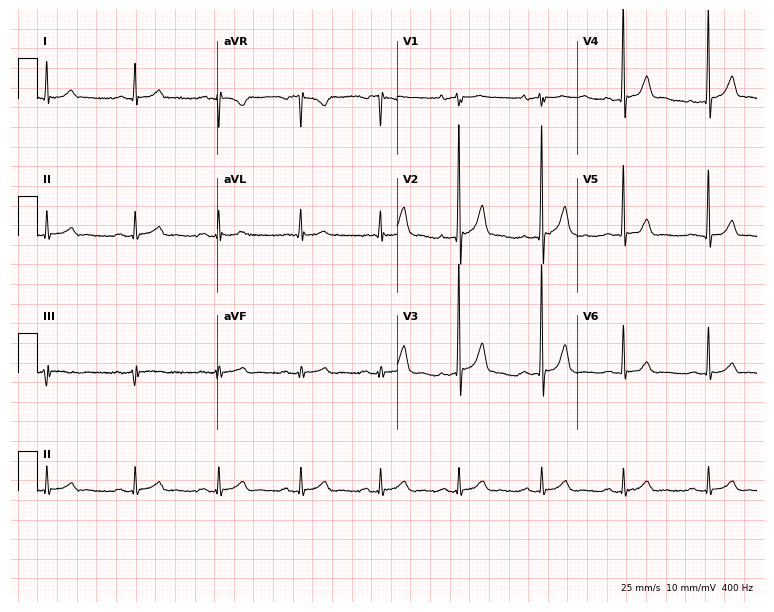
Resting 12-lead electrocardiogram (7.3-second recording at 400 Hz). Patient: a 55-year-old man. Read as a normal ECG.